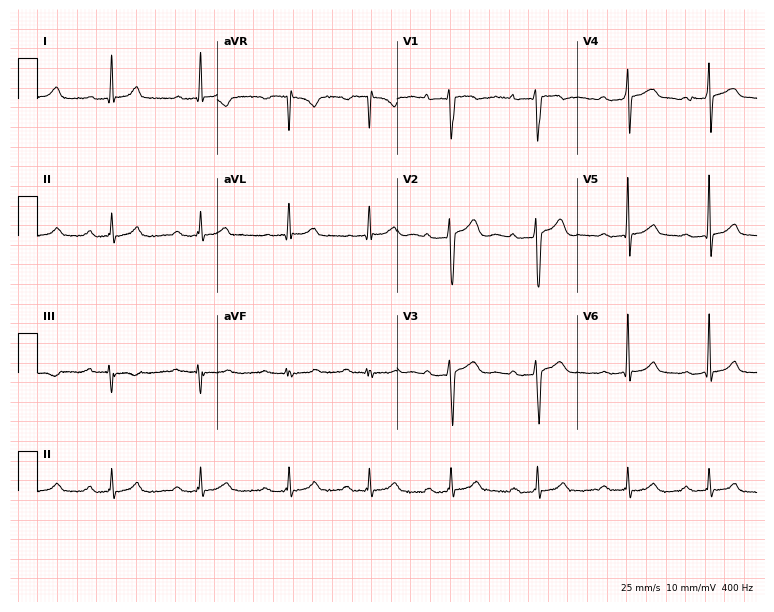
Resting 12-lead electrocardiogram (7.3-second recording at 400 Hz). Patient: a male, 20 years old. The tracing shows first-degree AV block.